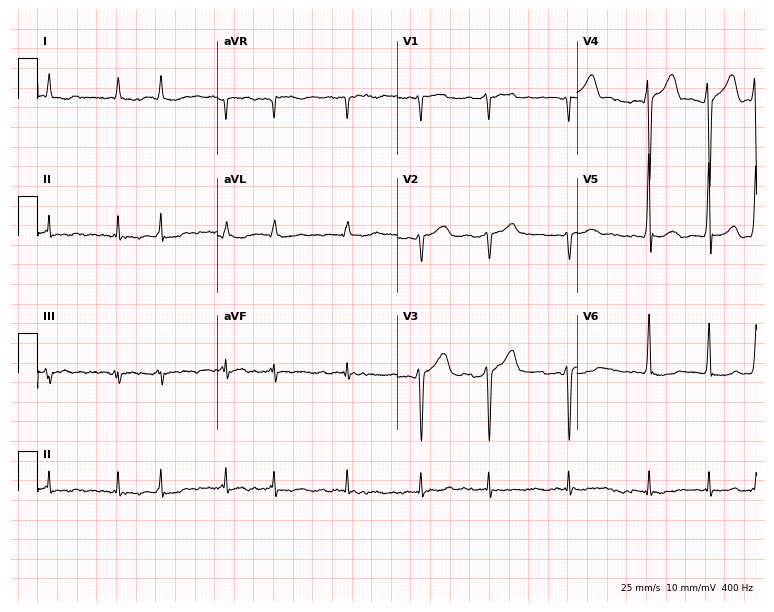
ECG — a man, 81 years old. Findings include atrial fibrillation.